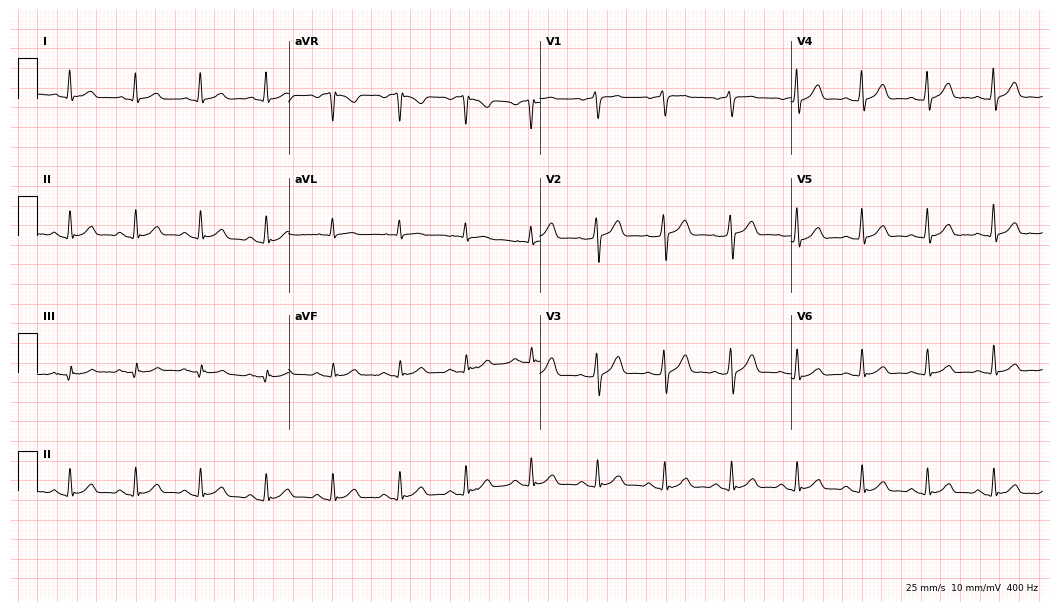
Standard 12-lead ECG recorded from a male, 51 years old. Read as a normal ECG.